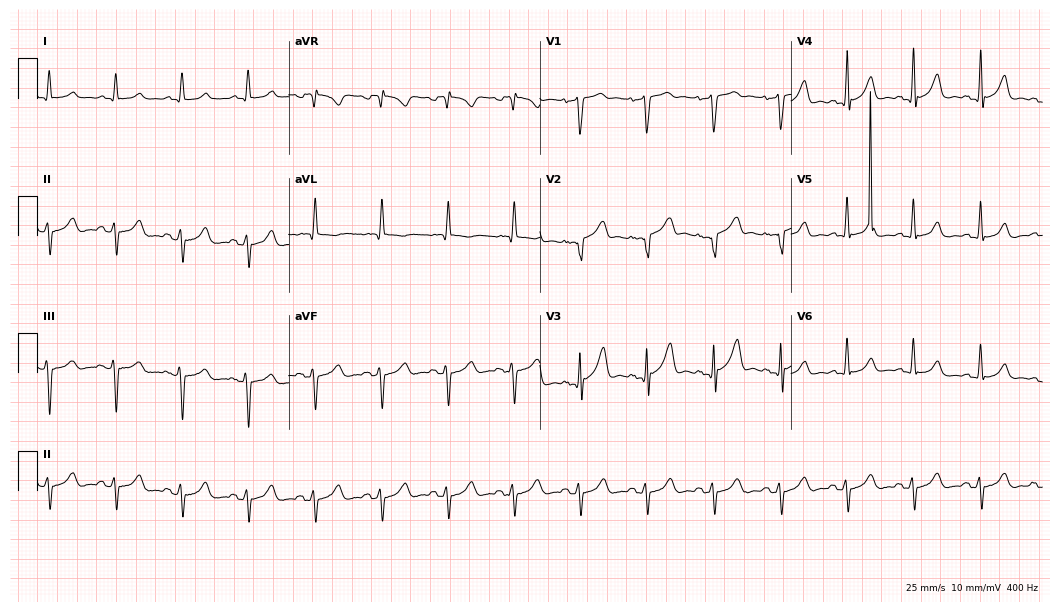
Electrocardiogram, a male patient, 55 years old. Of the six screened findings (first-degree AV block, right bundle branch block (RBBB), left bundle branch block (LBBB), sinus bradycardia, atrial fibrillation (AF), sinus tachycardia), none is recorded.